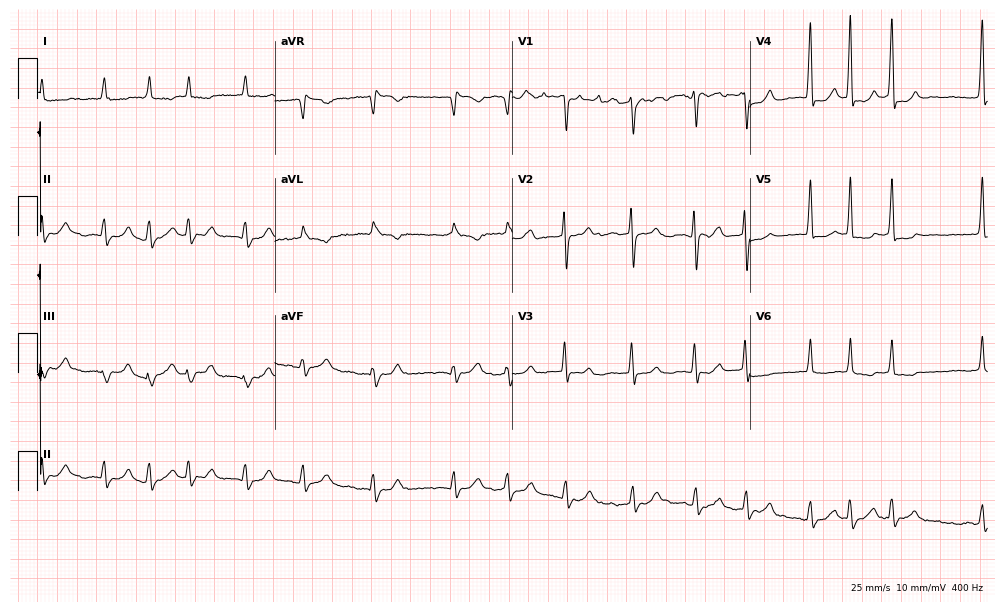
ECG — a female, 80 years old. Findings include atrial fibrillation.